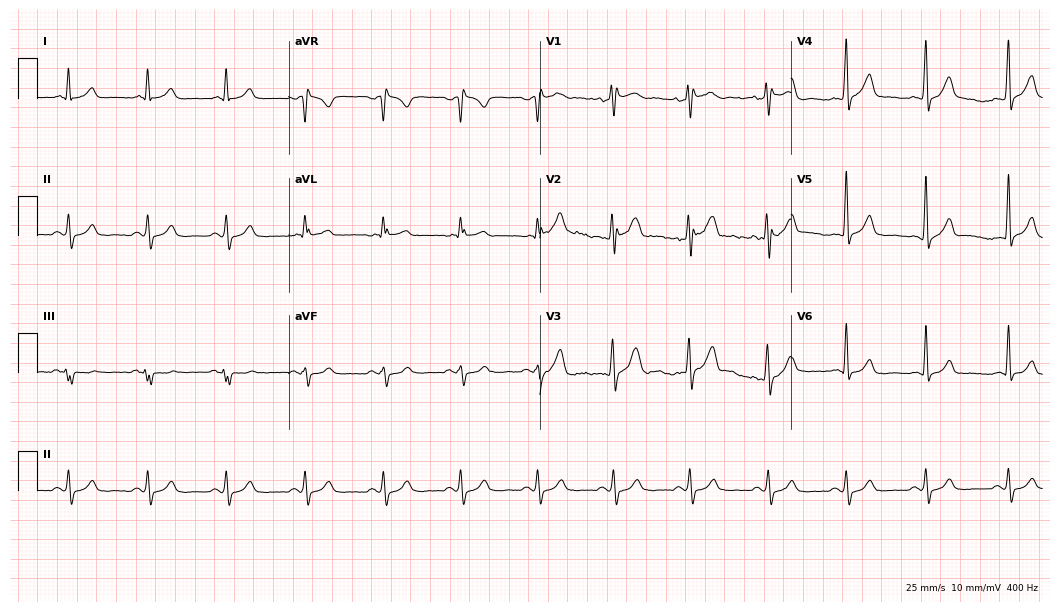
Resting 12-lead electrocardiogram. Patient: a 42-year-old male. Read as a normal ECG.